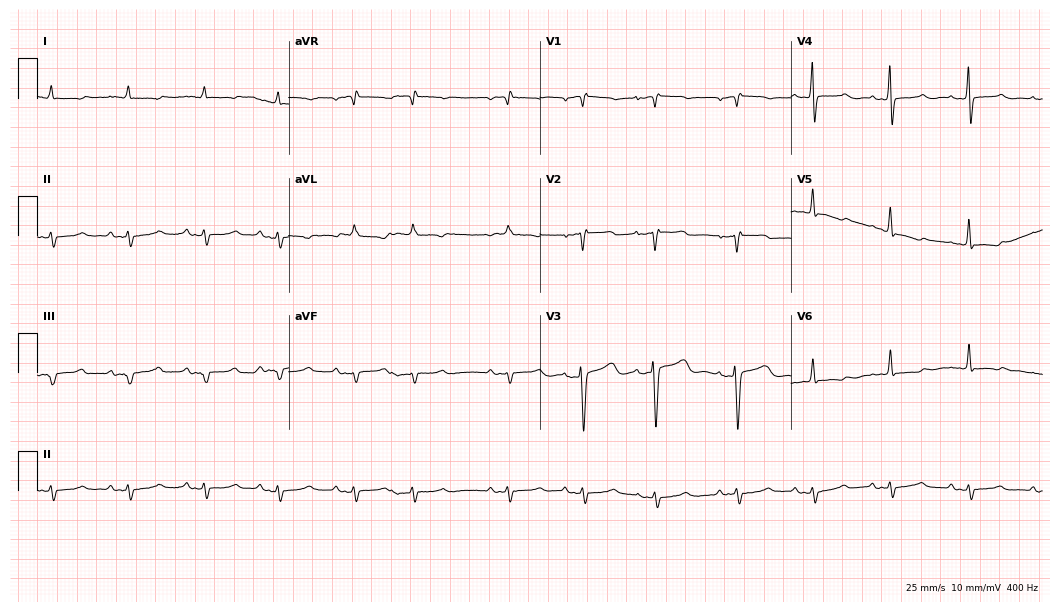
12-lead ECG (10.2-second recording at 400 Hz) from an 85-year-old woman. Screened for six findings — first-degree AV block, right bundle branch block, left bundle branch block, sinus bradycardia, atrial fibrillation, sinus tachycardia — none is recorded. Findings outside these six are not listed.